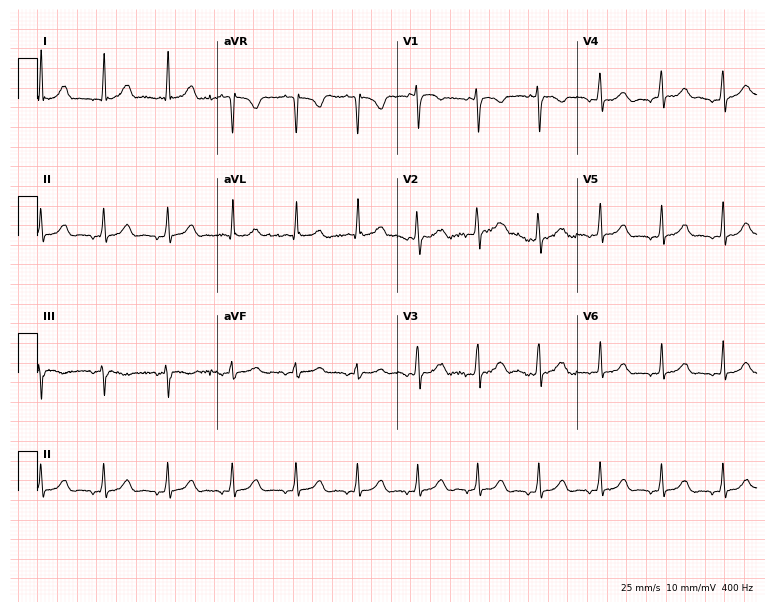
Standard 12-lead ECG recorded from a female, 27 years old. None of these six findings is recorded: first-degree AV block, right bundle branch block, left bundle branch block, sinus bradycardia, atrial fibrillation, sinus tachycardia.